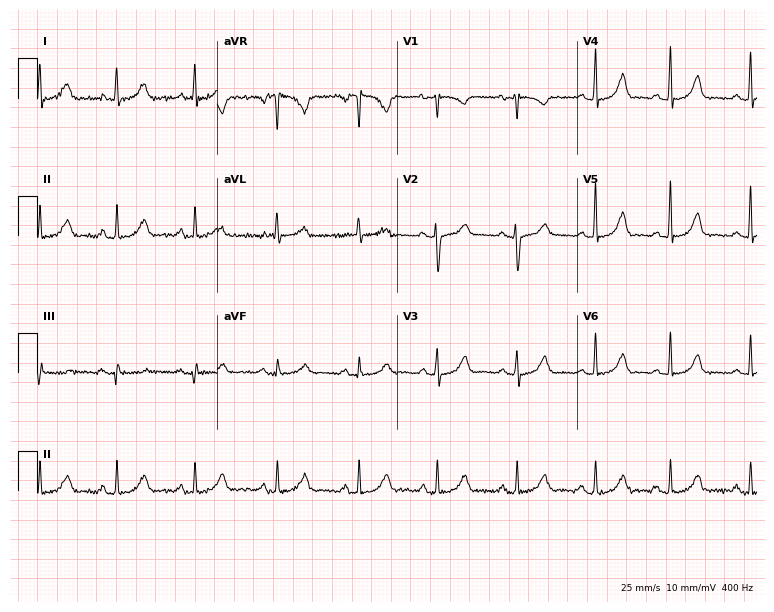
Resting 12-lead electrocardiogram (7.3-second recording at 400 Hz). Patient: a female, 76 years old. Read as a normal ECG.